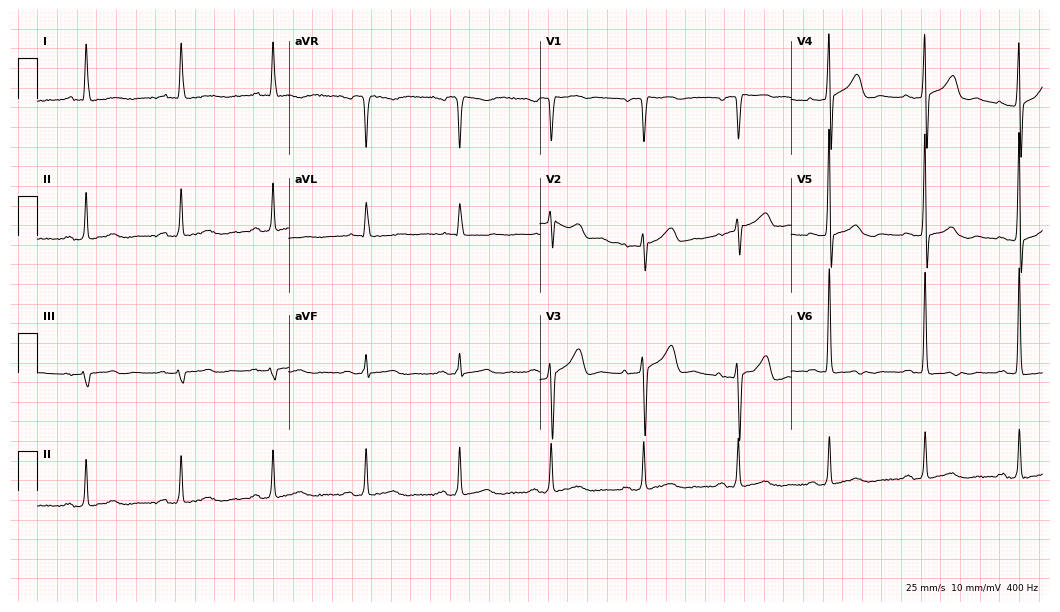
Resting 12-lead electrocardiogram (10.2-second recording at 400 Hz). Patient: a female, 59 years old. None of these six findings is recorded: first-degree AV block, right bundle branch block, left bundle branch block, sinus bradycardia, atrial fibrillation, sinus tachycardia. Other findings, if any, are not listed.